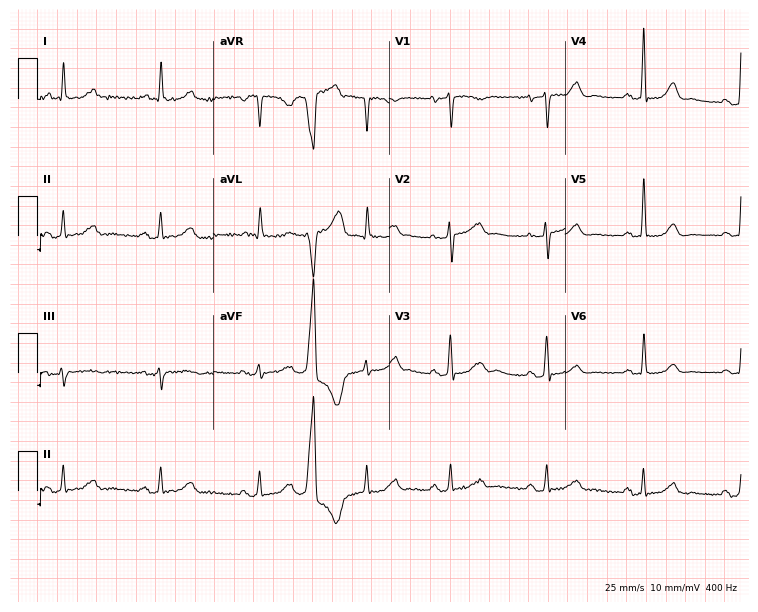
Standard 12-lead ECG recorded from a 71-year-old woman (7.2-second recording at 400 Hz). None of these six findings is recorded: first-degree AV block, right bundle branch block, left bundle branch block, sinus bradycardia, atrial fibrillation, sinus tachycardia.